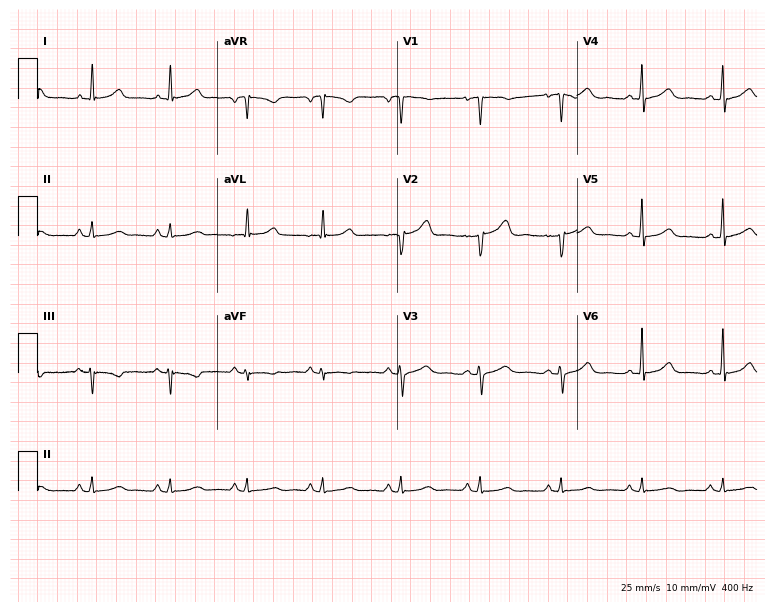
ECG (7.3-second recording at 400 Hz) — a female, 56 years old. Labelled as a normal ECG.